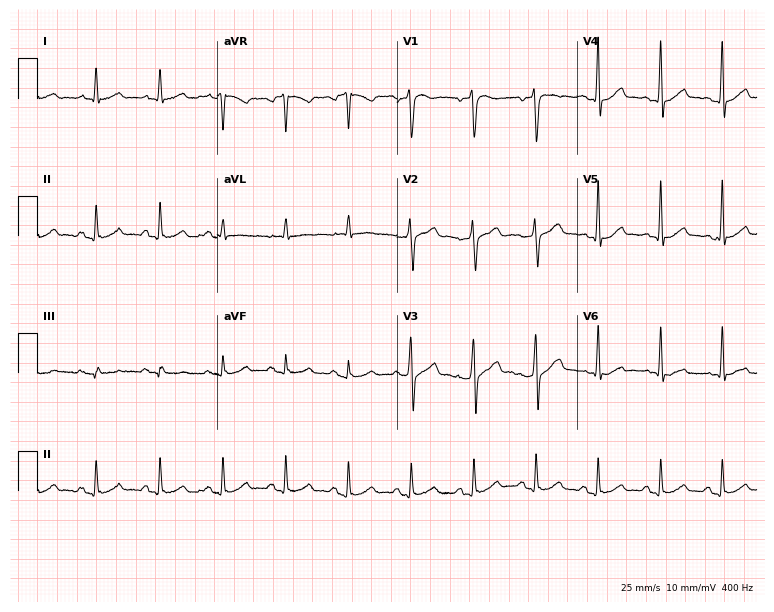
12-lead ECG (7.3-second recording at 400 Hz) from a man, 41 years old. Labelled as a normal ECG.